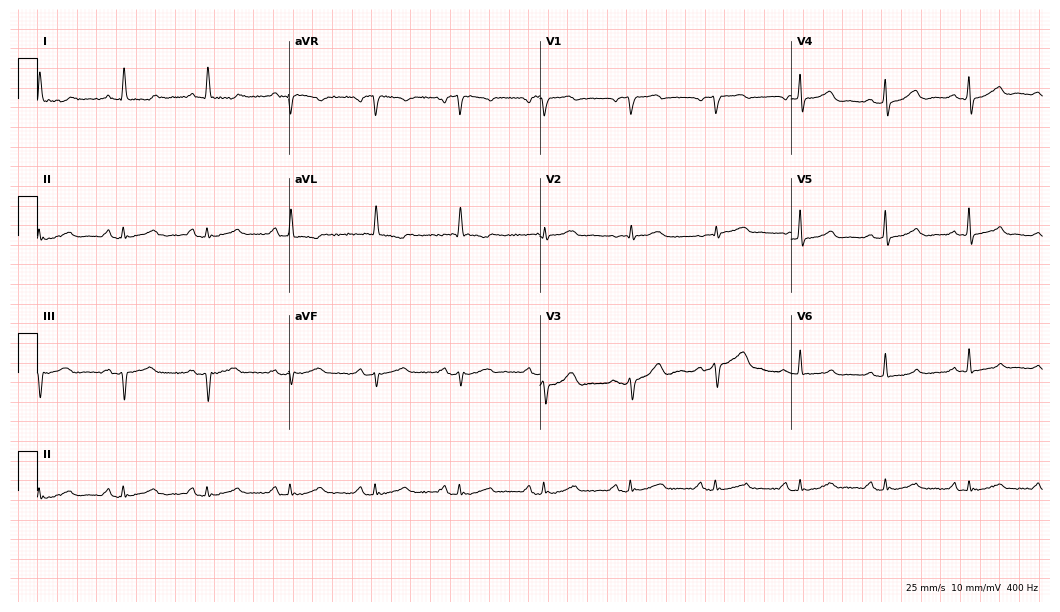
12-lead ECG (10.2-second recording at 400 Hz) from a female, 76 years old. Screened for six findings — first-degree AV block, right bundle branch block (RBBB), left bundle branch block (LBBB), sinus bradycardia, atrial fibrillation (AF), sinus tachycardia — none is recorded.